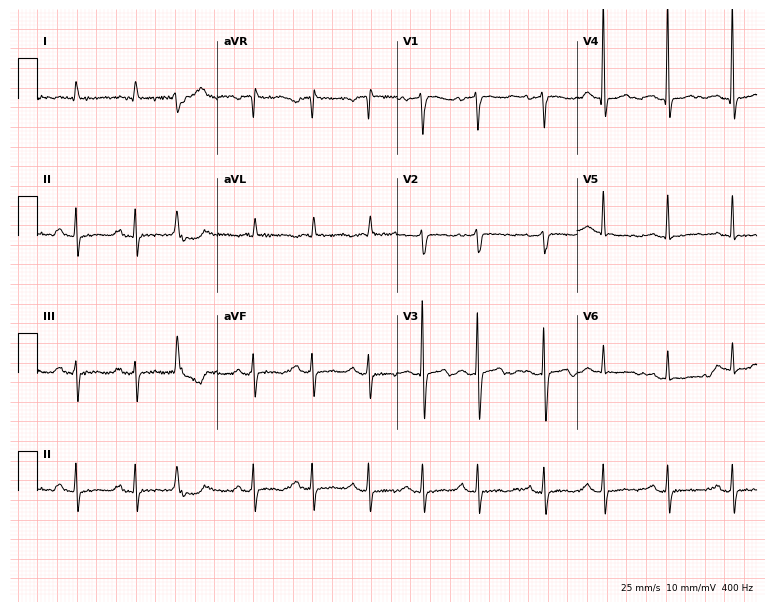
Standard 12-lead ECG recorded from a female, 66 years old (7.3-second recording at 400 Hz). Read as a normal ECG.